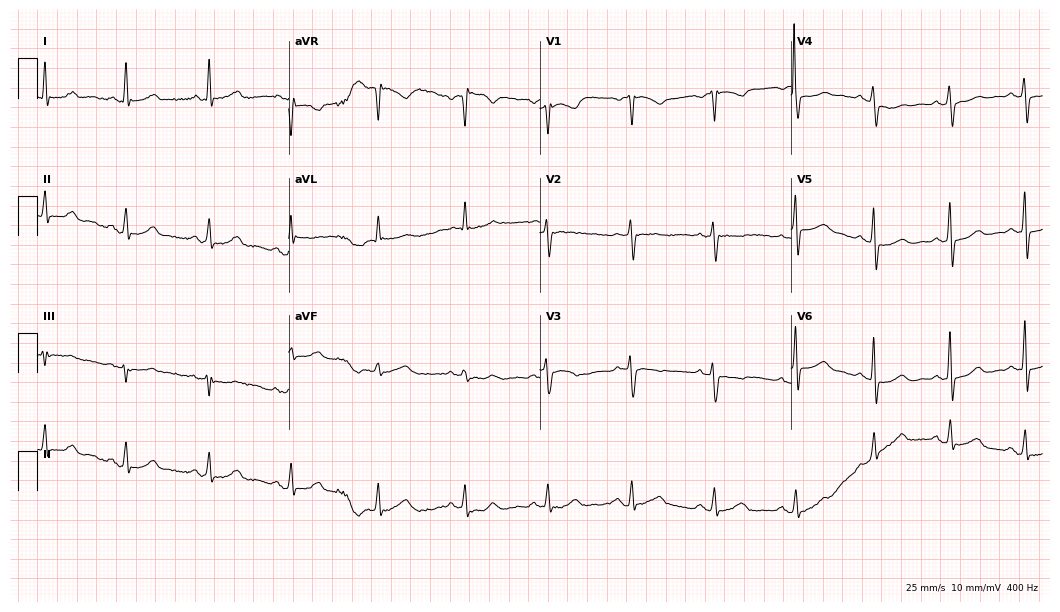
Electrocardiogram, a woman, 70 years old. Of the six screened findings (first-degree AV block, right bundle branch block, left bundle branch block, sinus bradycardia, atrial fibrillation, sinus tachycardia), none is recorded. Only these six findings were labelled.